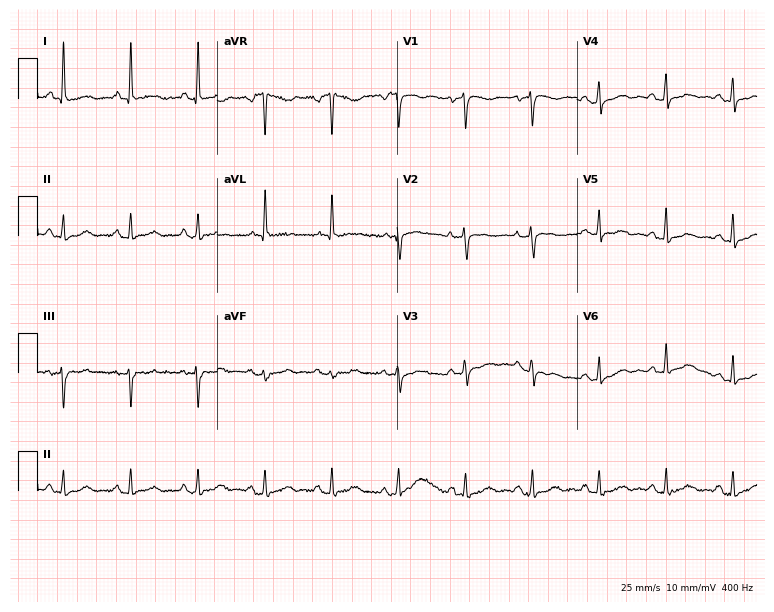
12-lead ECG (7.3-second recording at 400 Hz) from a woman, 80 years old. Screened for six findings — first-degree AV block, right bundle branch block, left bundle branch block, sinus bradycardia, atrial fibrillation, sinus tachycardia — none is recorded. Only these six findings were labelled.